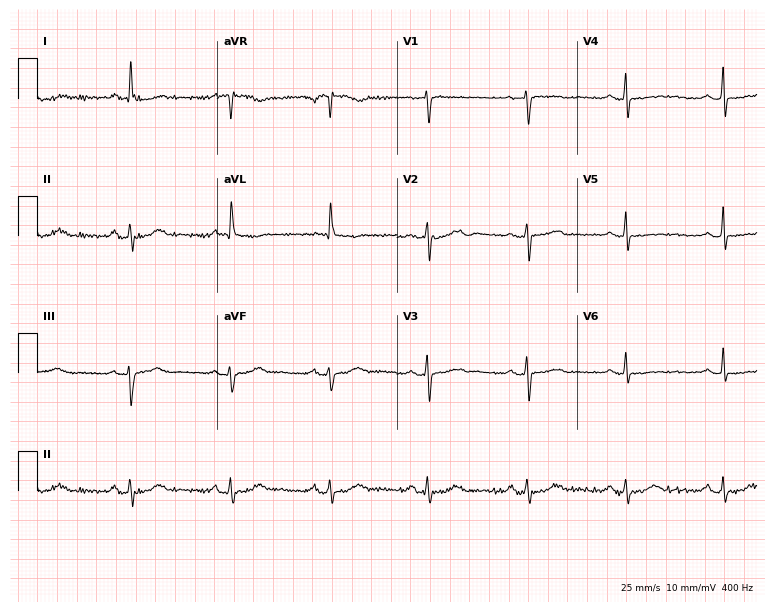
12-lead ECG from a female patient, 66 years old (7.3-second recording at 400 Hz). No first-degree AV block, right bundle branch block (RBBB), left bundle branch block (LBBB), sinus bradycardia, atrial fibrillation (AF) or sinus tachycardia recorded for this tracing.